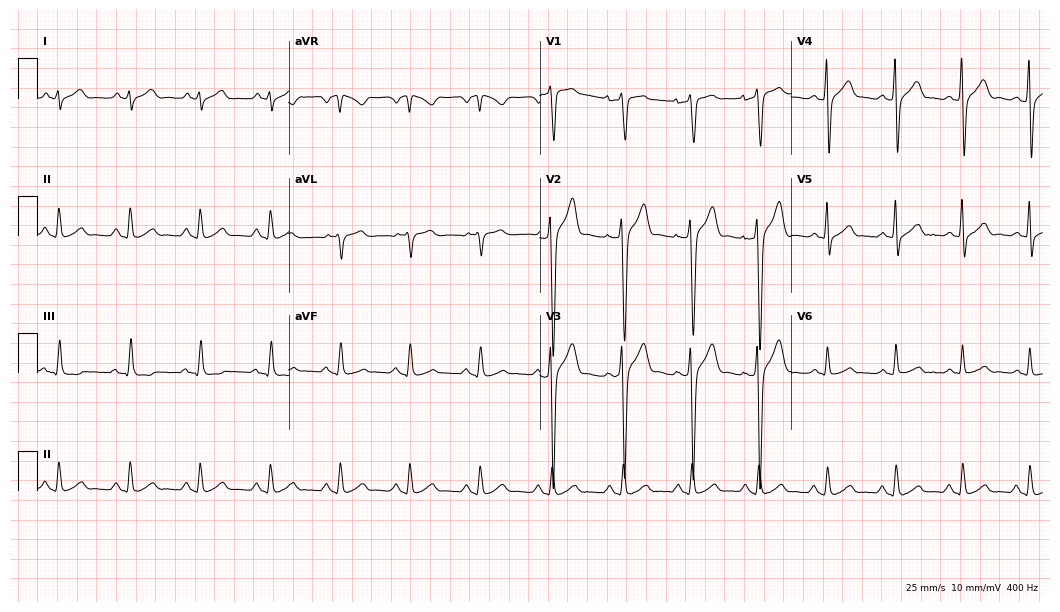
Resting 12-lead electrocardiogram. Patient: a male, 37 years old. None of these six findings is recorded: first-degree AV block, right bundle branch block, left bundle branch block, sinus bradycardia, atrial fibrillation, sinus tachycardia. Findings outside these six are not listed.